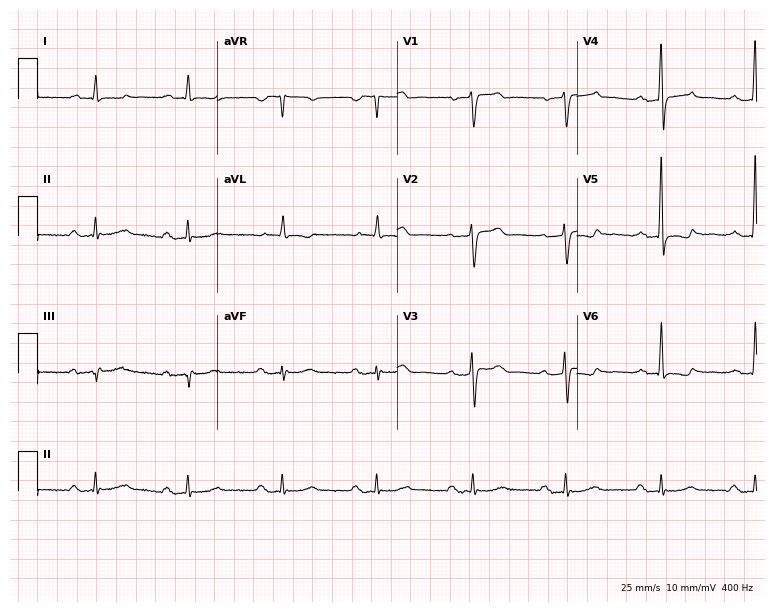
ECG — an 80-year-old man. Findings include first-degree AV block.